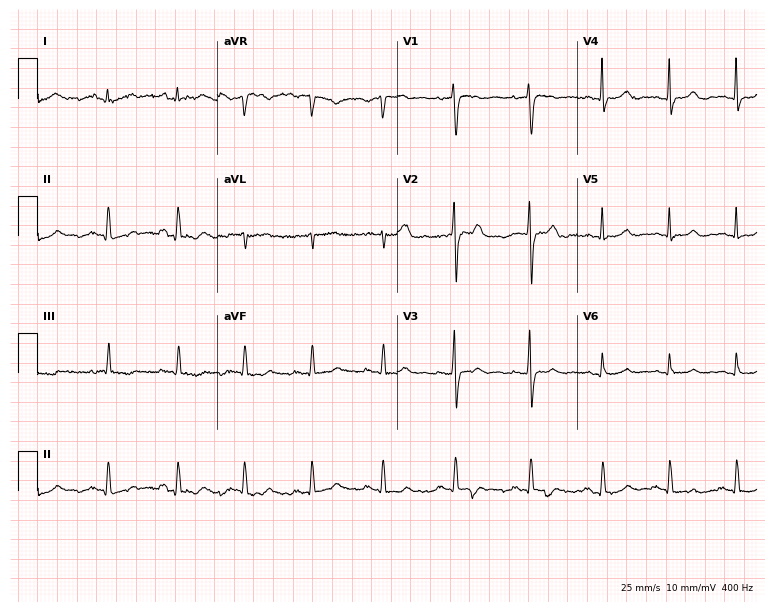
12-lead ECG from a woman, 29 years old. Labelled as a normal ECG.